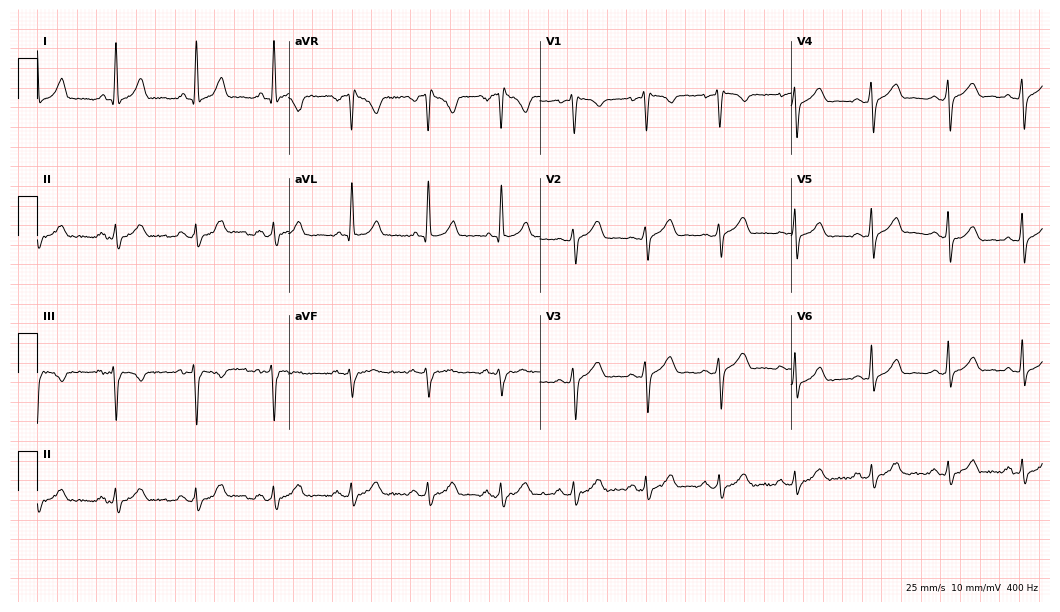
12-lead ECG from a 30-year-old man. Recorded interpretation: within normal limits.